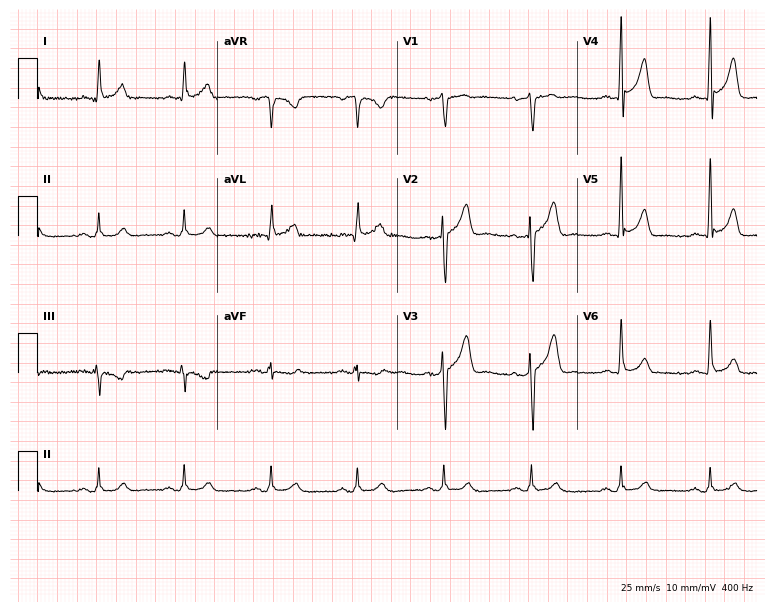
Electrocardiogram, a male patient, 50 years old. Of the six screened findings (first-degree AV block, right bundle branch block (RBBB), left bundle branch block (LBBB), sinus bradycardia, atrial fibrillation (AF), sinus tachycardia), none is recorded. Findings outside these six are not listed.